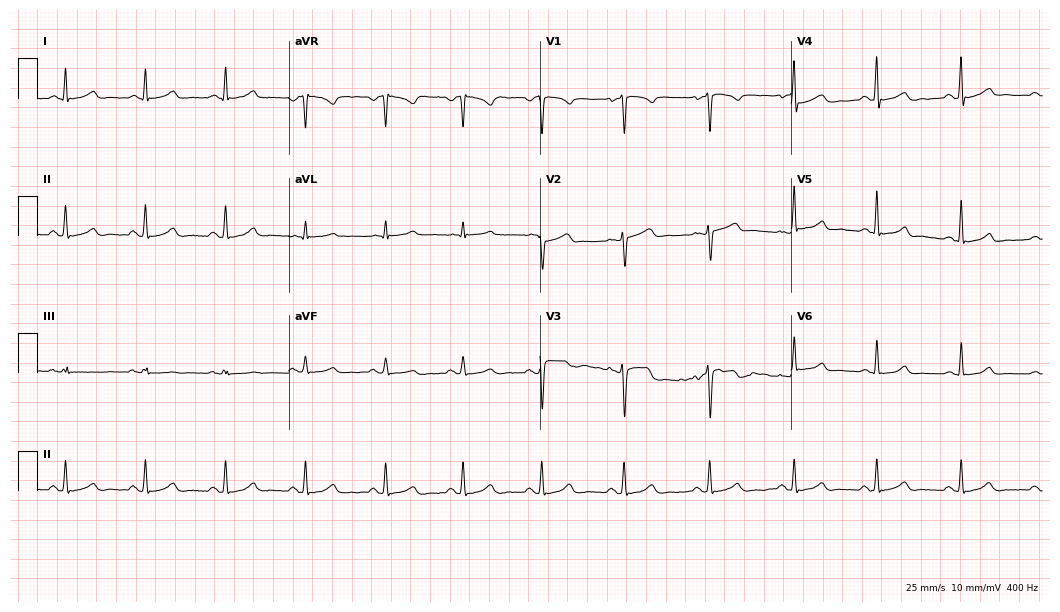
Resting 12-lead electrocardiogram (10.2-second recording at 400 Hz). Patient: a female, 33 years old. Read as a normal ECG.